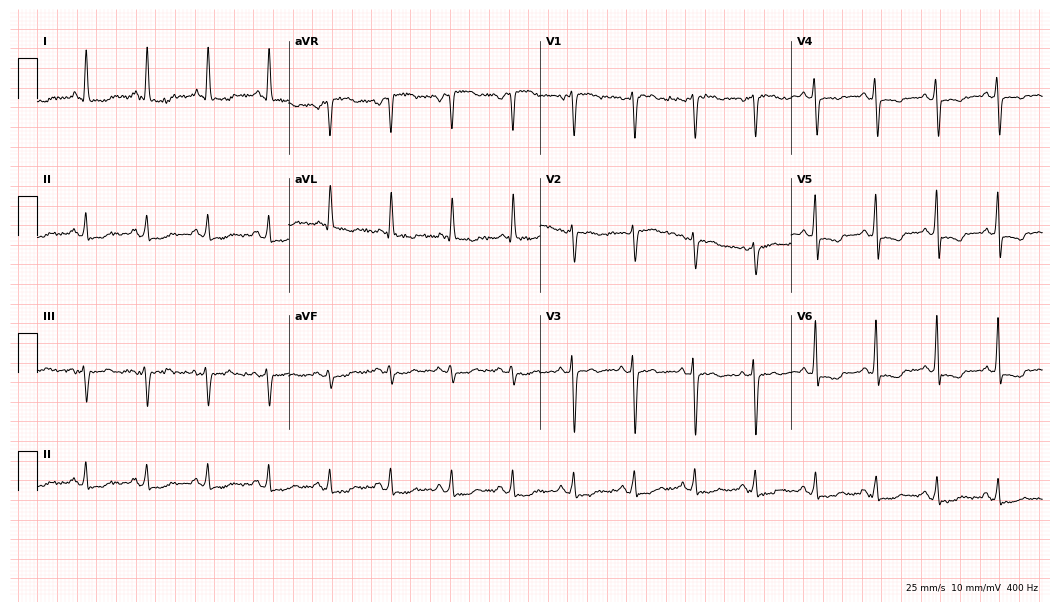
ECG (10.2-second recording at 400 Hz) — a female, 51 years old. Screened for six findings — first-degree AV block, right bundle branch block, left bundle branch block, sinus bradycardia, atrial fibrillation, sinus tachycardia — none is recorded. Other findings, if any, are not listed.